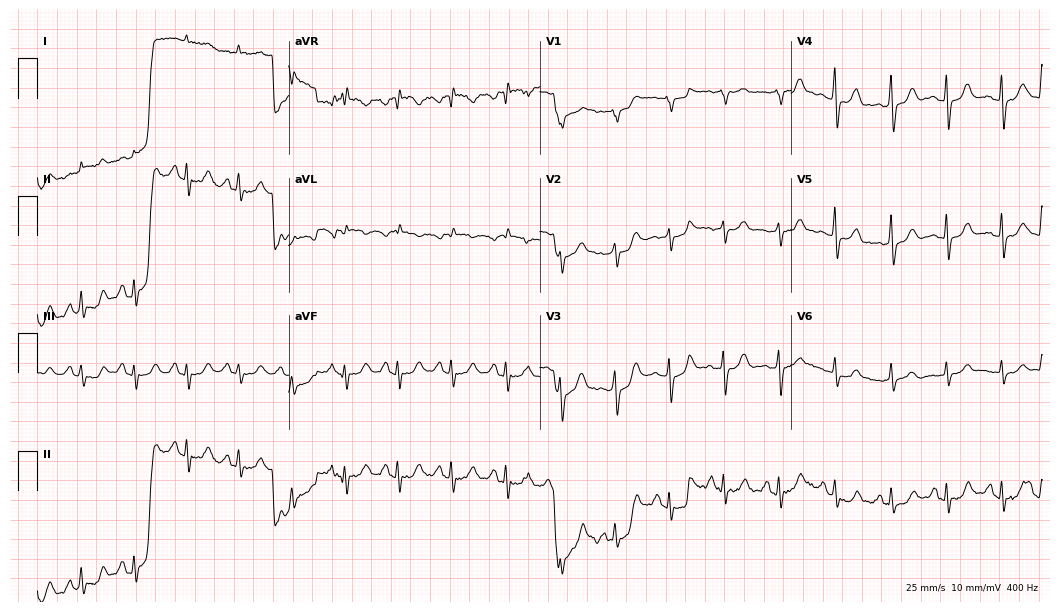
12-lead ECG from a 69-year-old male patient (10.2-second recording at 400 Hz). Shows sinus tachycardia (a sinus rate of 100 beats per minute or more).